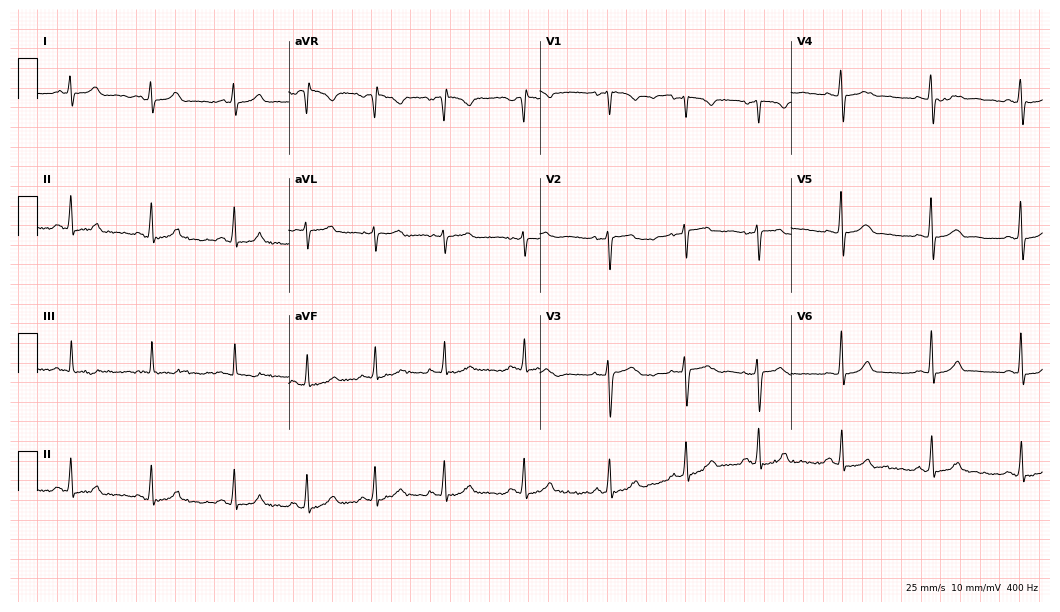
Electrocardiogram, a 26-year-old female patient. Overall reading on record: normal ECG.